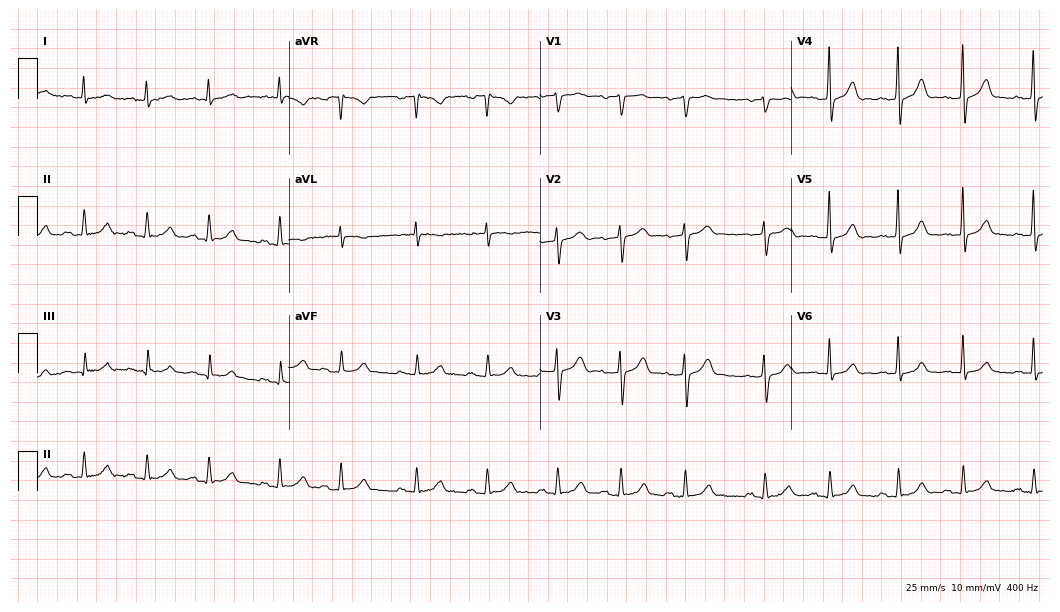
Resting 12-lead electrocardiogram (10.2-second recording at 400 Hz). Patient: an 82-year-old female. Read as a normal ECG.